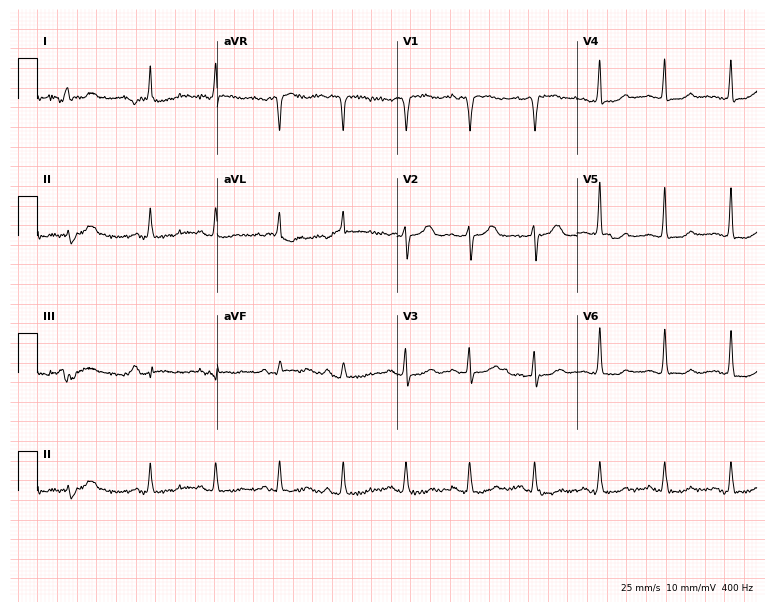
12-lead ECG (7.3-second recording at 400 Hz) from an 84-year-old female. Screened for six findings — first-degree AV block, right bundle branch block, left bundle branch block, sinus bradycardia, atrial fibrillation, sinus tachycardia — none is recorded.